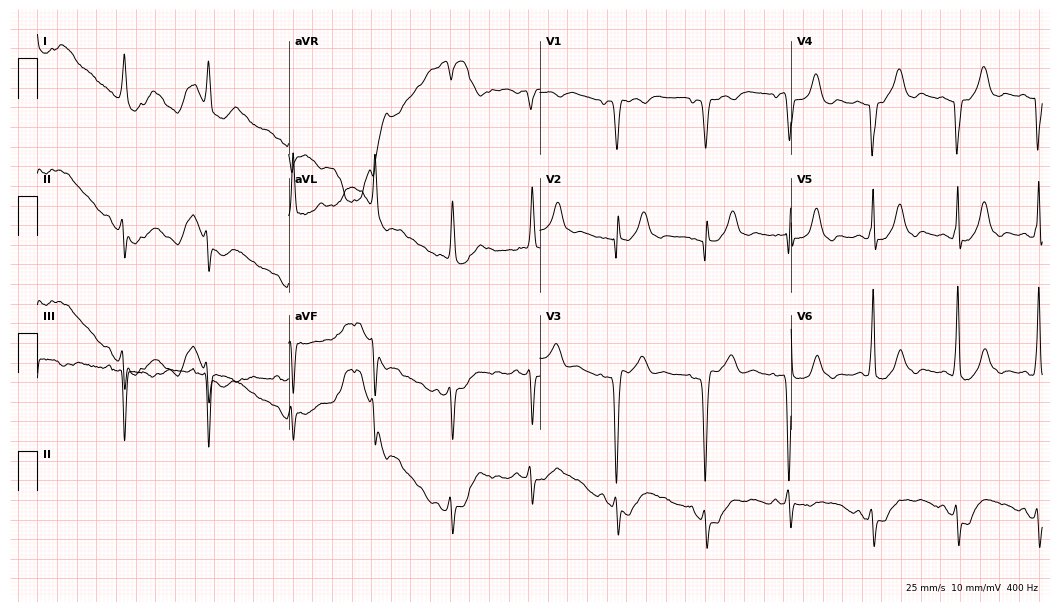
ECG (10.2-second recording at 400 Hz) — a female patient, 73 years old. Screened for six findings — first-degree AV block, right bundle branch block, left bundle branch block, sinus bradycardia, atrial fibrillation, sinus tachycardia — none is recorded. Only these six findings were labelled.